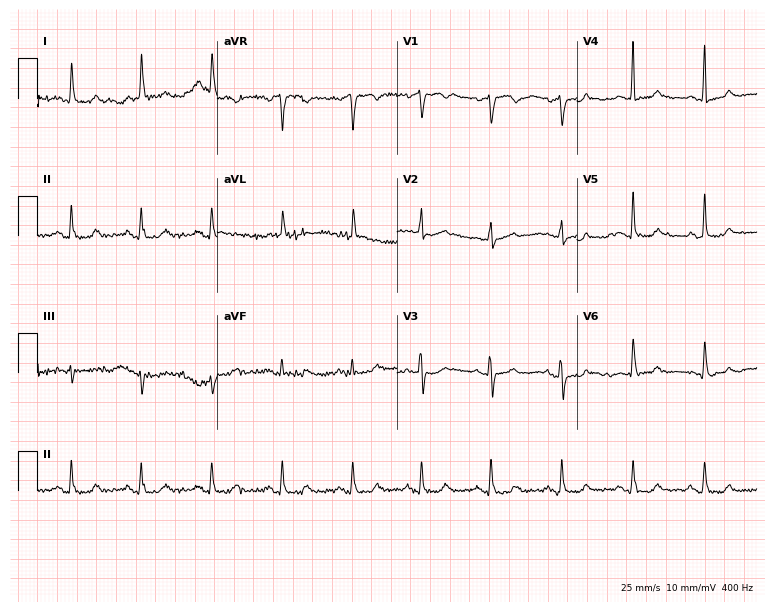
12-lead ECG from a 76-year-old female patient. Screened for six findings — first-degree AV block, right bundle branch block, left bundle branch block, sinus bradycardia, atrial fibrillation, sinus tachycardia — none is recorded.